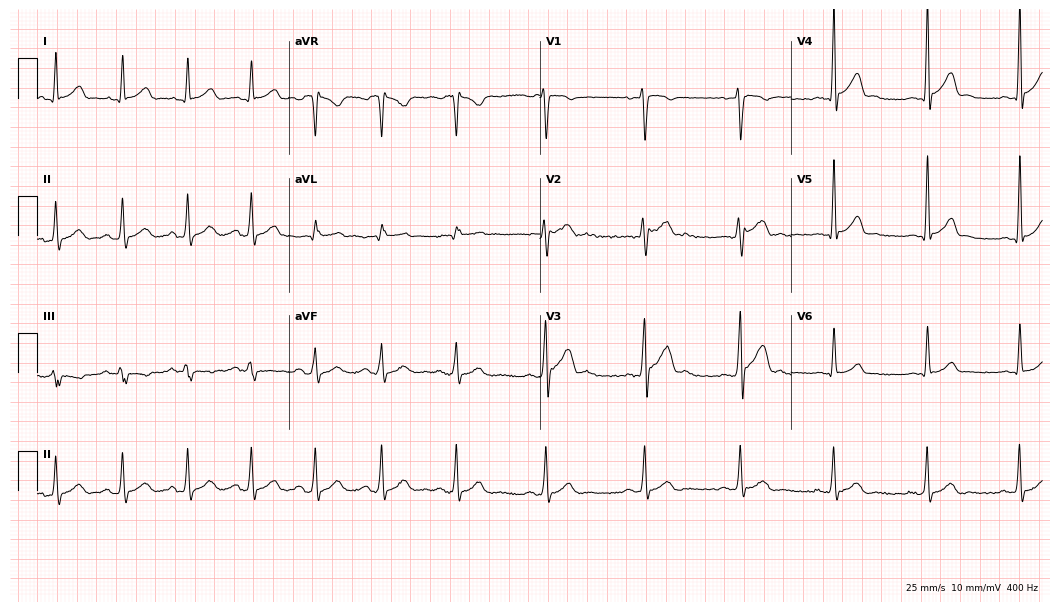
12-lead ECG from a 22-year-old man (10.2-second recording at 400 Hz). Recorded interpretation: within normal limits.